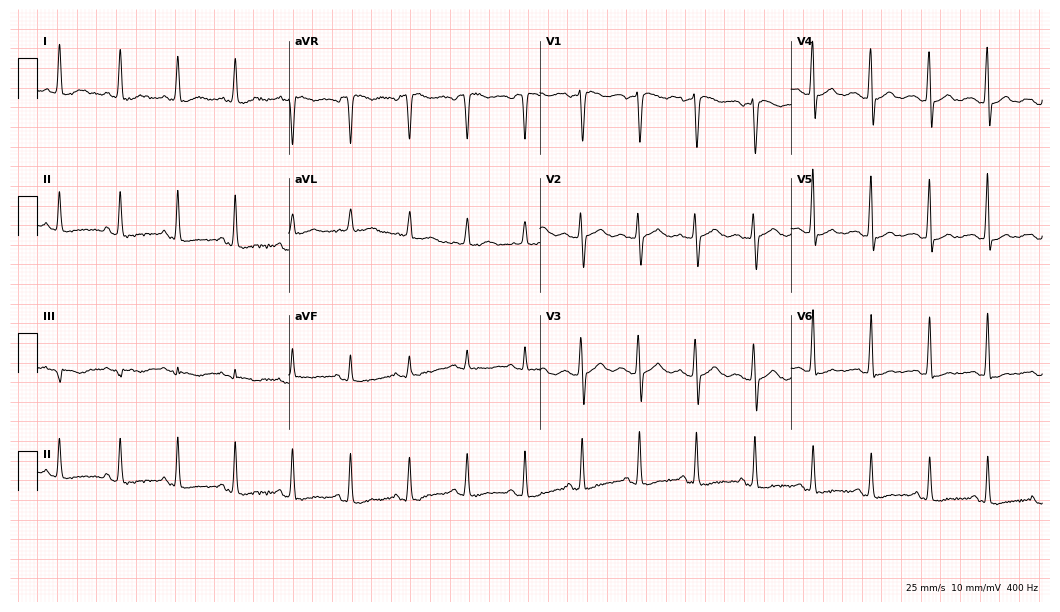
12-lead ECG from a 64-year-old female patient. Shows sinus tachycardia (a sinus rate of 100 beats per minute or more).